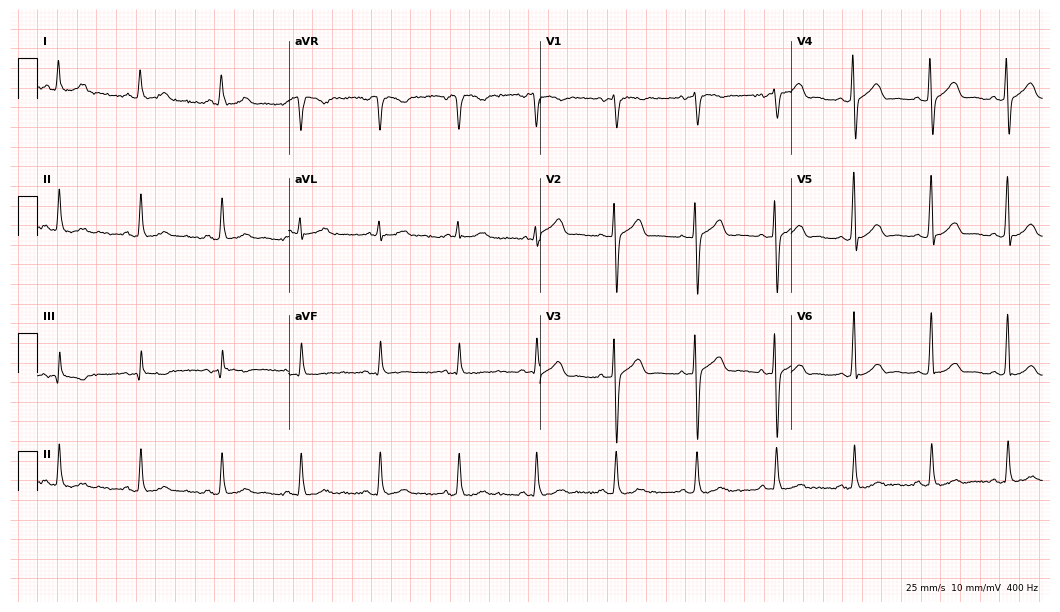
Resting 12-lead electrocardiogram (10.2-second recording at 400 Hz). Patient: a female, 48 years old. Read as a normal ECG.